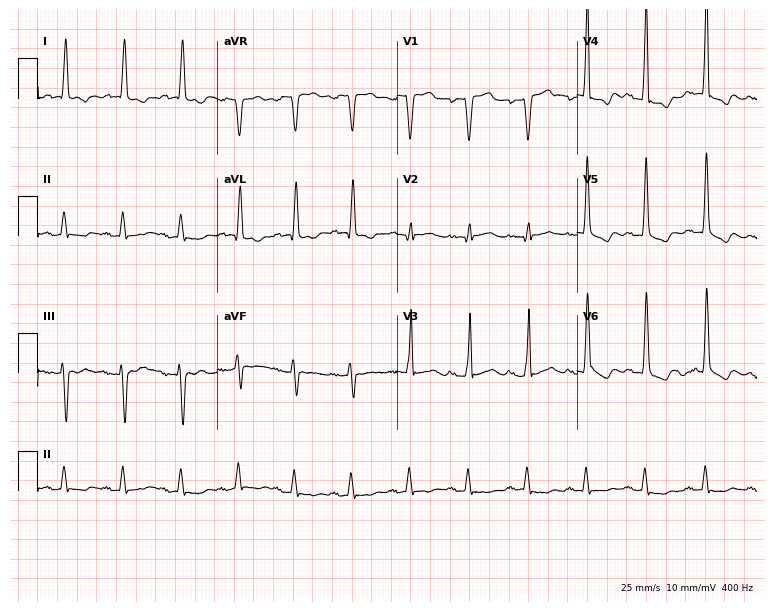
Electrocardiogram, a male, 72 years old. Interpretation includes sinus tachycardia (a sinus rate of 100 beats per minute or more).